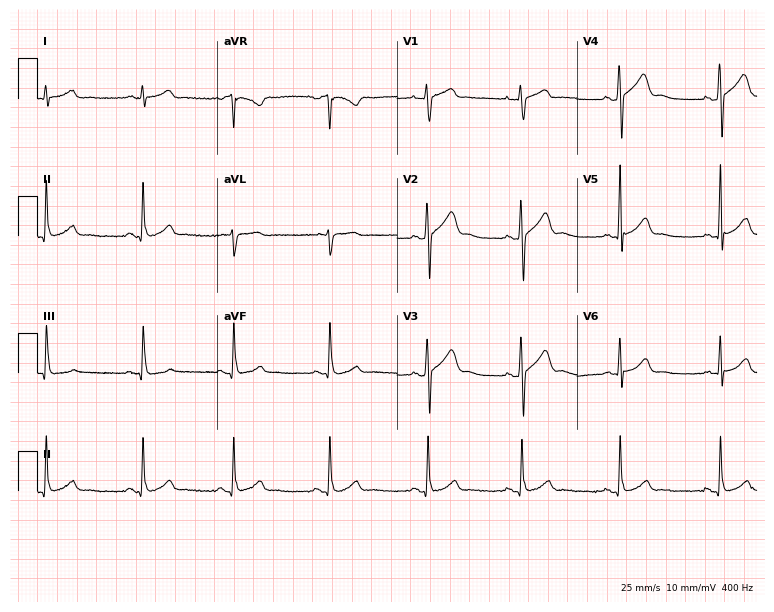
12-lead ECG from a male, 22 years old (7.3-second recording at 400 Hz). Recorded interpretation: within normal limits.